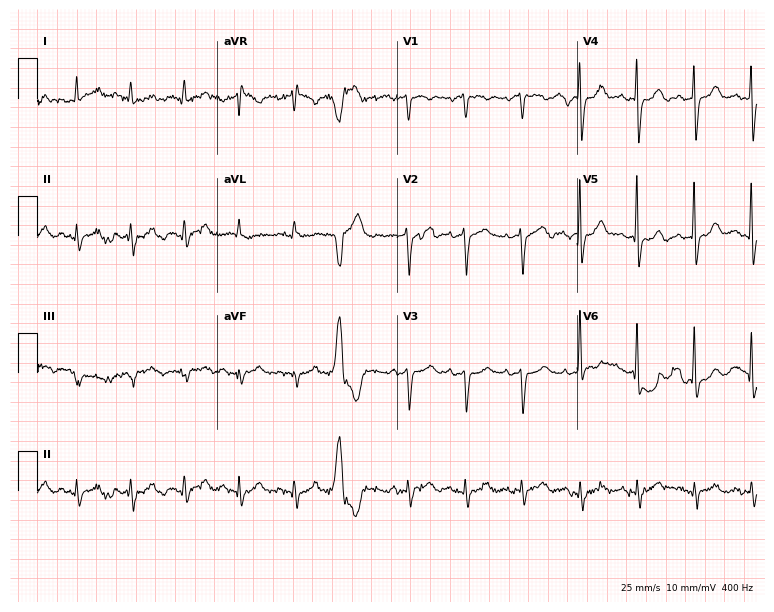
12-lead ECG (7.3-second recording at 400 Hz) from an 80-year-old female patient. Screened for six findings — first-degree AV block, right bundle branch block, left bundle branch block, sinus bradycardia, atrial fibrillation, sinus tachycardia — none is recorded.